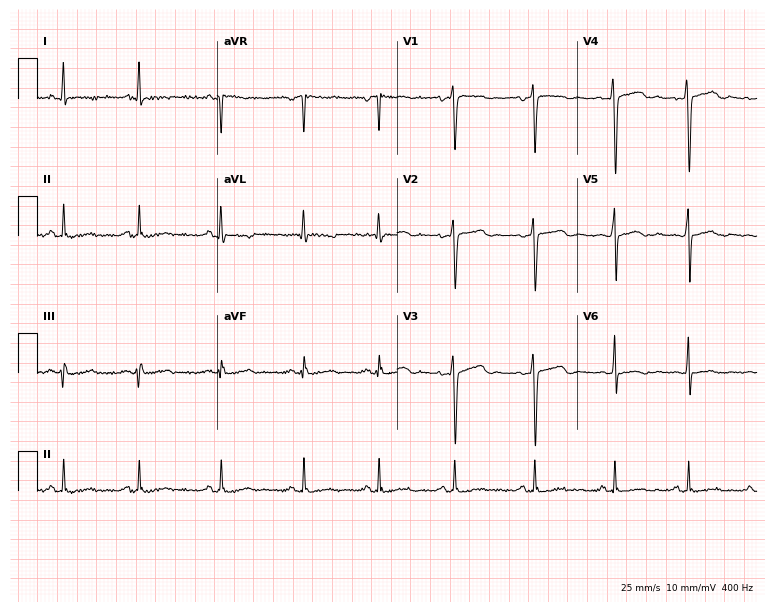
Standard 12-lead ECG recorded from a woman, 36 years old. None of these six findings is recorded: first-degree AV block, right bundle branch block (RBBB), left bundle branch block (LBBB), sinus bradycardia, atrial fibrillation (AF), sinus tachycardia.